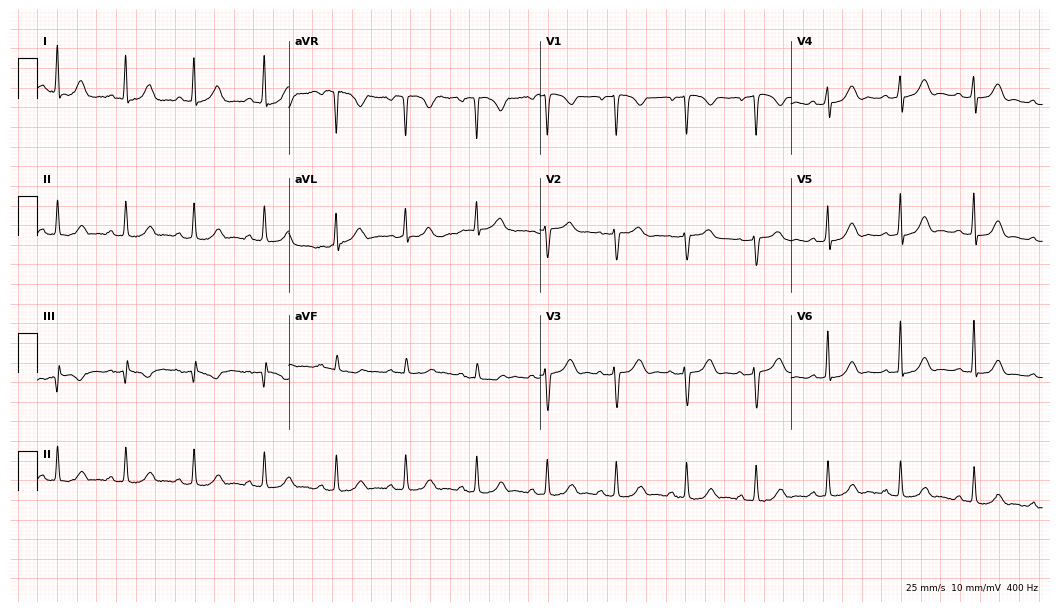
12-lead ECG from a female, 47 years old (10.2-second recording at 400 Hz). Recorded interpretation: within normal limits.